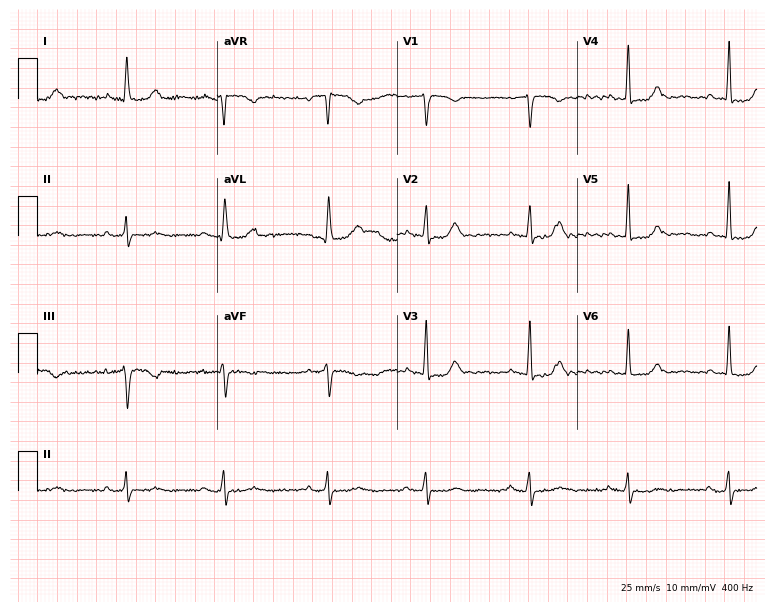
Standard 12-lead ECG recorded from a 72-year-old female (7.3-second recording at 400 Hz). None of these six findings is recorded: first-degree AV block, right bundle branch block (RBBB), left bundle branch block (LBBB), sinus bradycardia, atrial fibrillation (AF), sinus tachycardia. Findings outside these six are not listed.